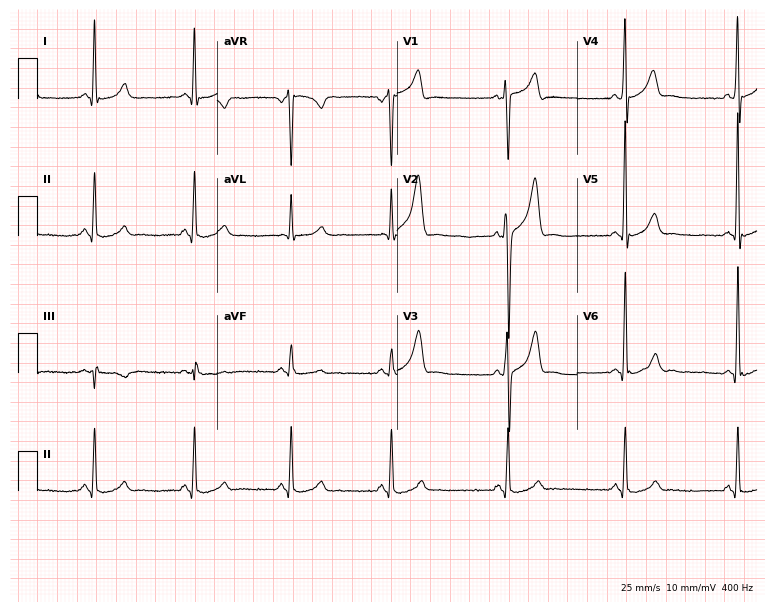
ECG (7.3-second recording at 400 Hz) — a 33-year-old man. Screened for six findings — first-degree AV block, right bundle branch block (RBBB), left bundle branch block (LBBB), sinus bradycardia, atrial fibrillation (AF), sinus tachycardia — none is recorded. Findings outside these six are not listed.